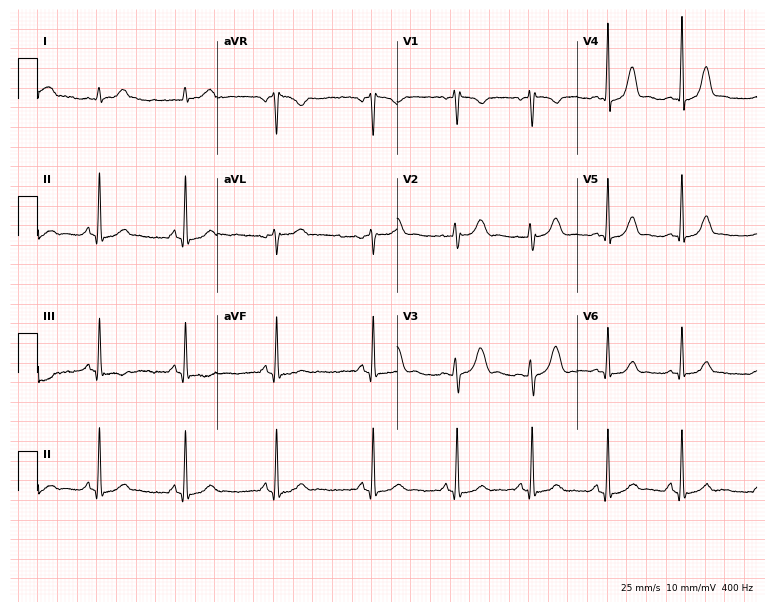
Resting 12-lead electrocardiogram. Patient: a 29-year-old woman. Read as a normal ECG.